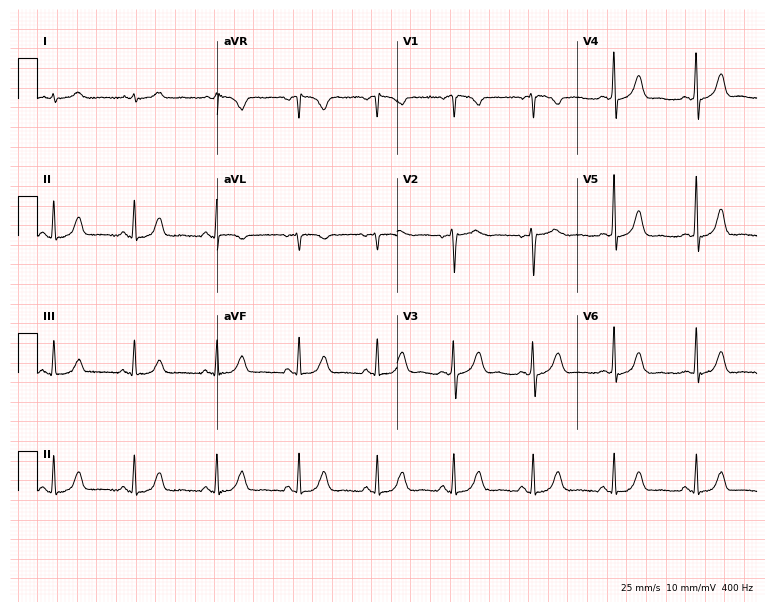
Standard 12-lead ECG recorded from a female, 48 years old. None of these six findings is recorded: first-degree AV block, right bundle branch block, left bundle branch block, sinus bradycardia, atrial fibrillation, sinus tachycardia. Findings outside these six are not listed.